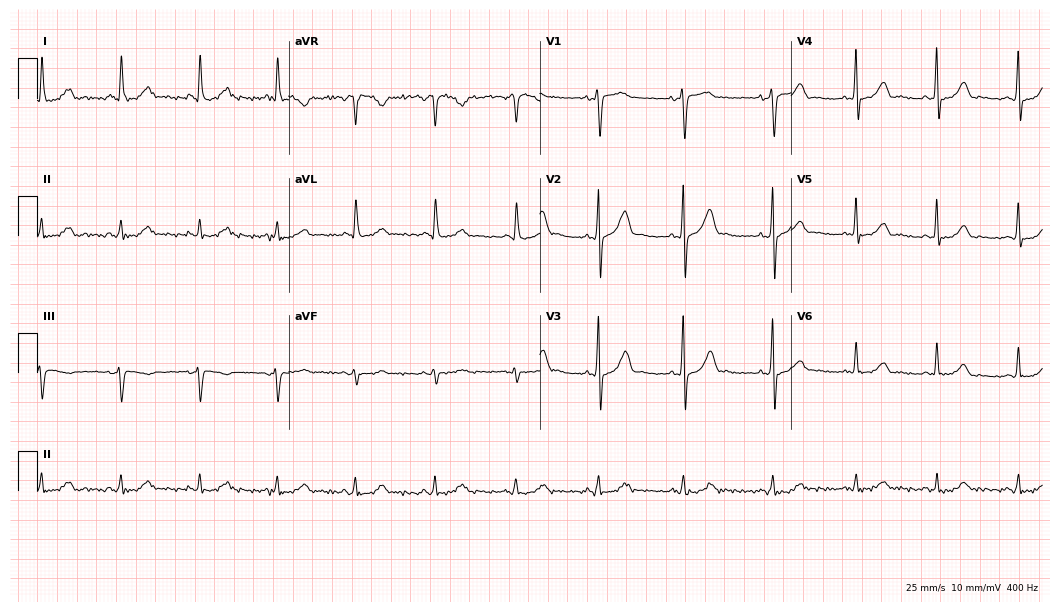
Standard 12-lead ECG recorded from a male, 67 years old. Read as a normal ECG.